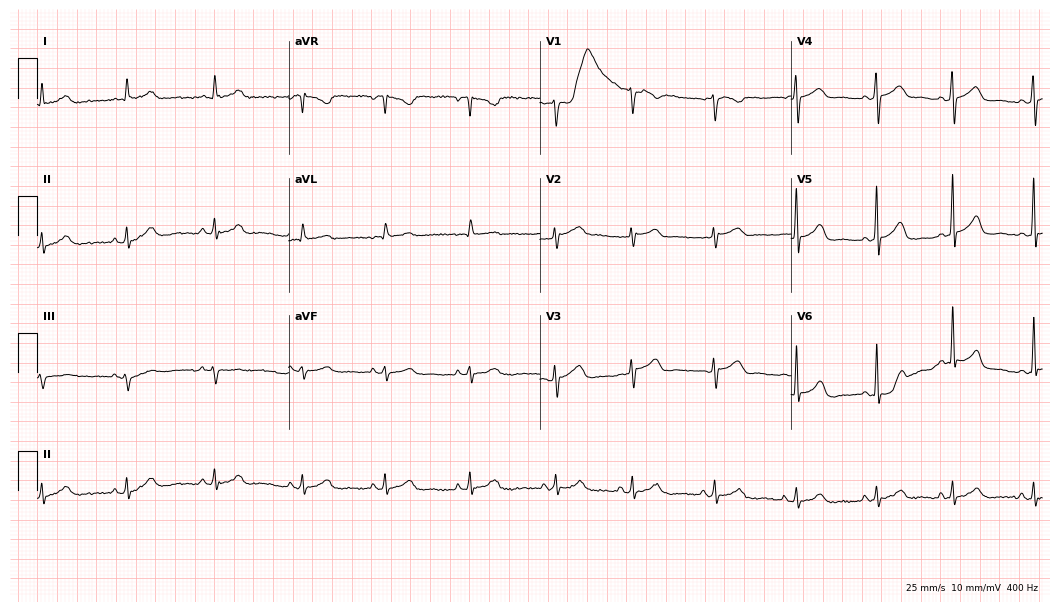
Standard 12-lead ECG recorded from a 47-year-old woman. None of these six findings is recorded: first-degree AV block, right bundle branch block (RBBB), left bundle branch block (LBBB), sinus bradycardia, atrial fibrillation (AF), sinus tachycardia. Findings outside these six are not listed.